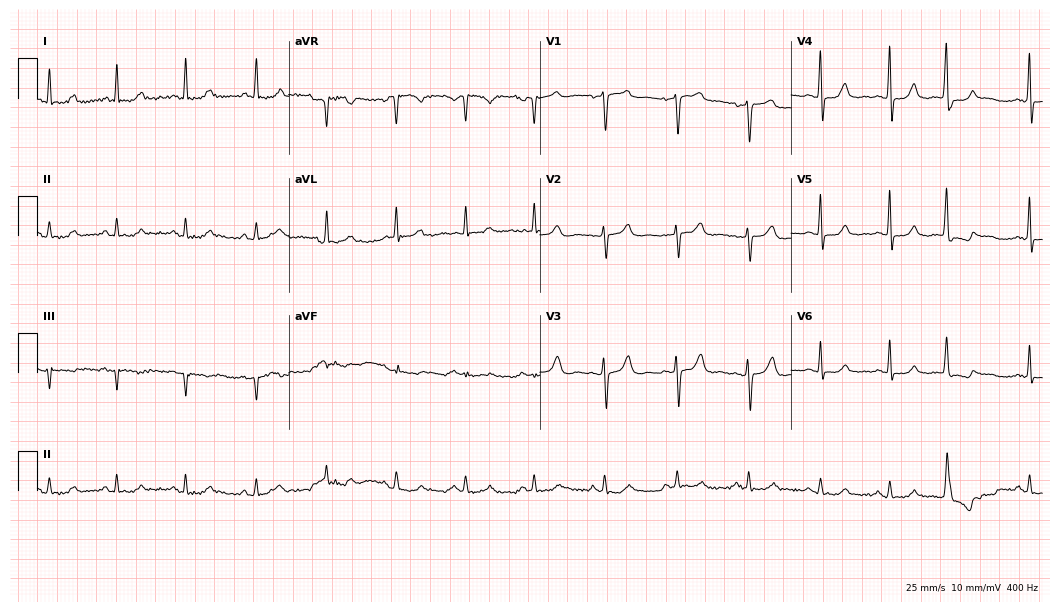
Standard 12-lead ECG recorded from a 68-year-old female (10.2-second recording at 400 Hz). None of these six findings is recorded: first-degree AV block, right bundle branch block (RBBB), left bundle branch block (LBBB), sinus bradycardia, atrial fibrillation (AF), sinus tachycardia.